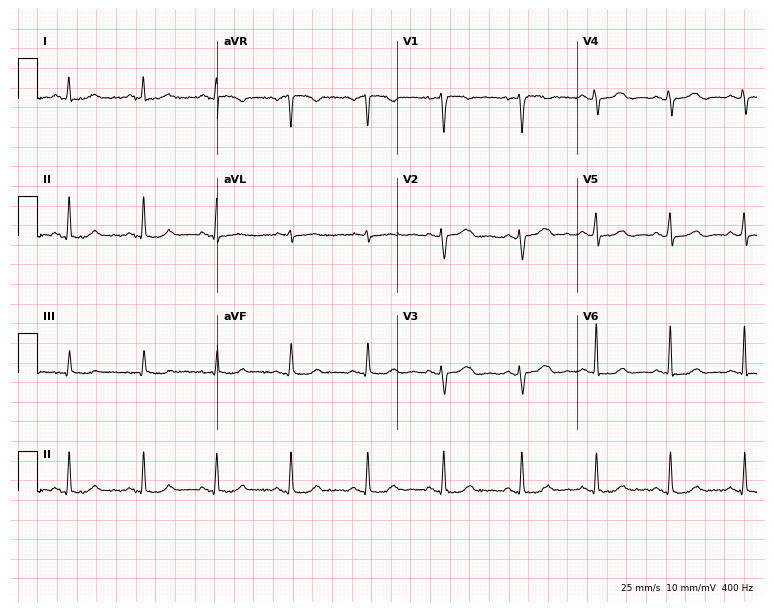
12-lead ECG from a 45-year-old female. Labelled as a normal ECG.